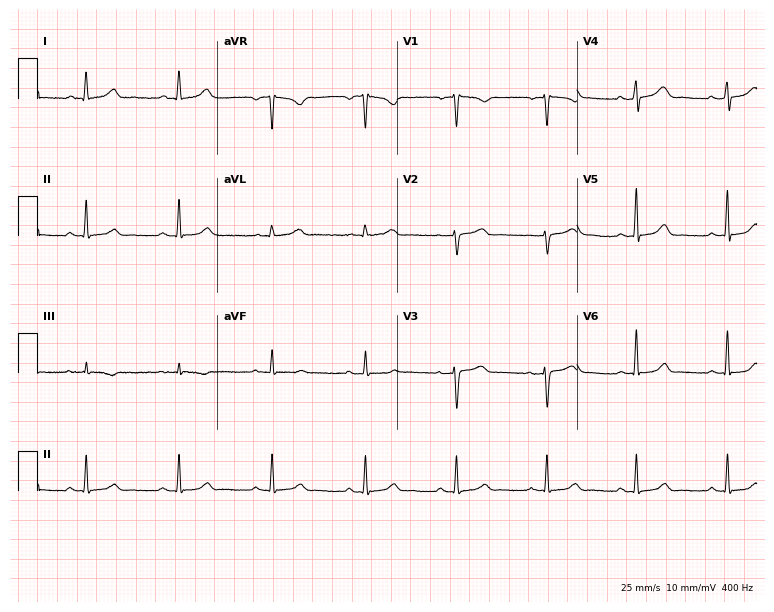
Resting 12-lead electrocardiogram (7.3-second recording at 400 Hz). Patient: a 45-year-old woman. None of these six findings is recorded: first-degree AV block, right bundle branch block, left bundle branch block, sinus bradycardia, atrial fibrillation, sinus tachycardia. Findings outside these six are not listed.